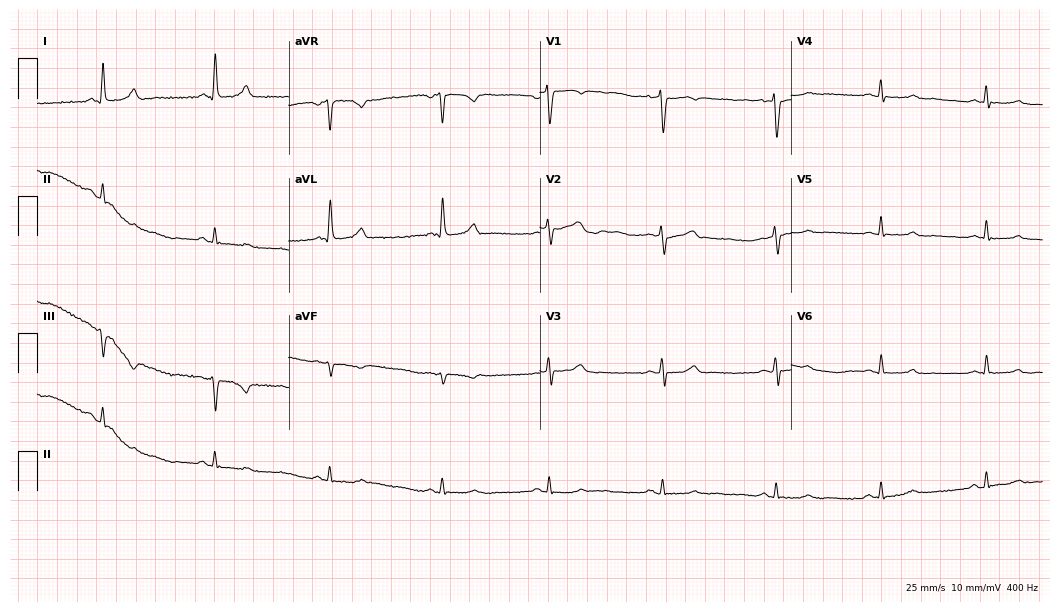
Standard 12-lead ECG recorded from a 57-year-old female. Read as a normal ECG.